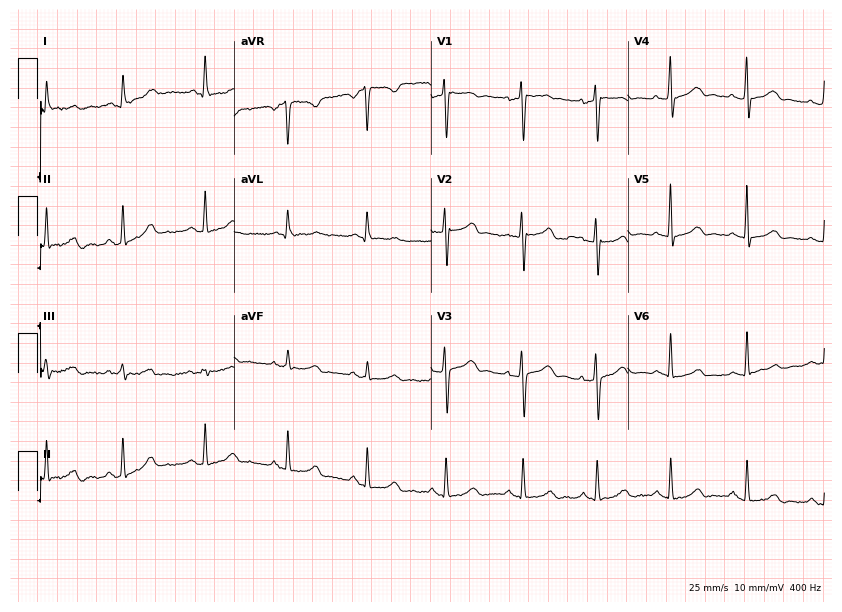
Electrocardiogram (8-second recording at 400 Hz), a female, 43 years old. Overall reading on record: normal ECG.